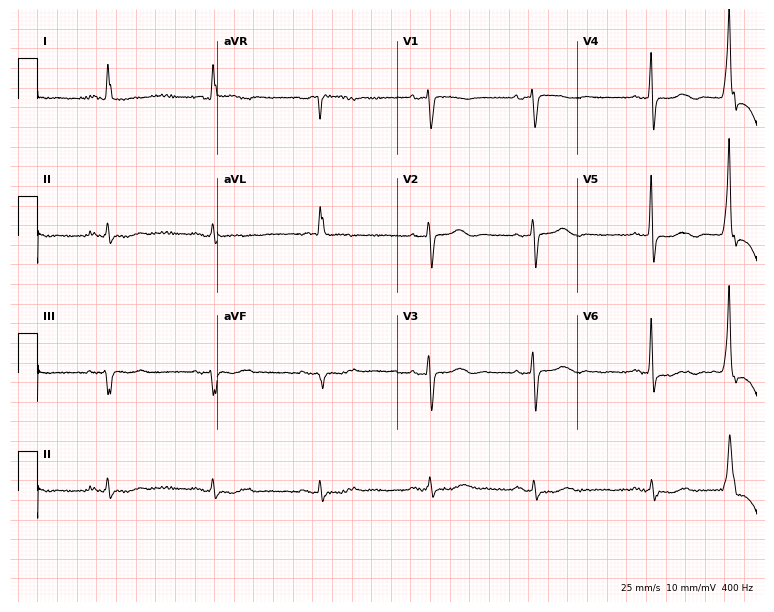
Electrocardiogram, a female patient, 80 years old. Overall reading on record: normal ECG.